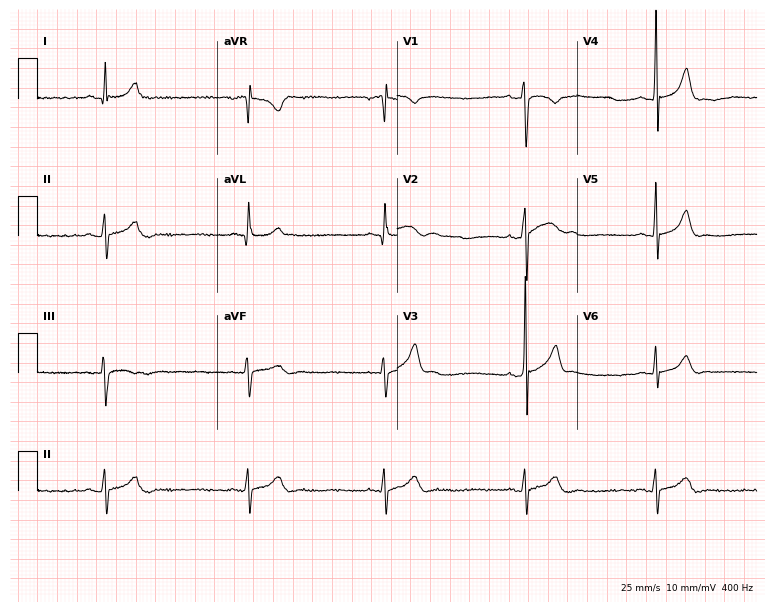
12-lead ECG from a 38-year-old man (7.3-second recording at 400 Hz). Shows sinus bradycardia (a sinus rate of 50 beats per minute or less).